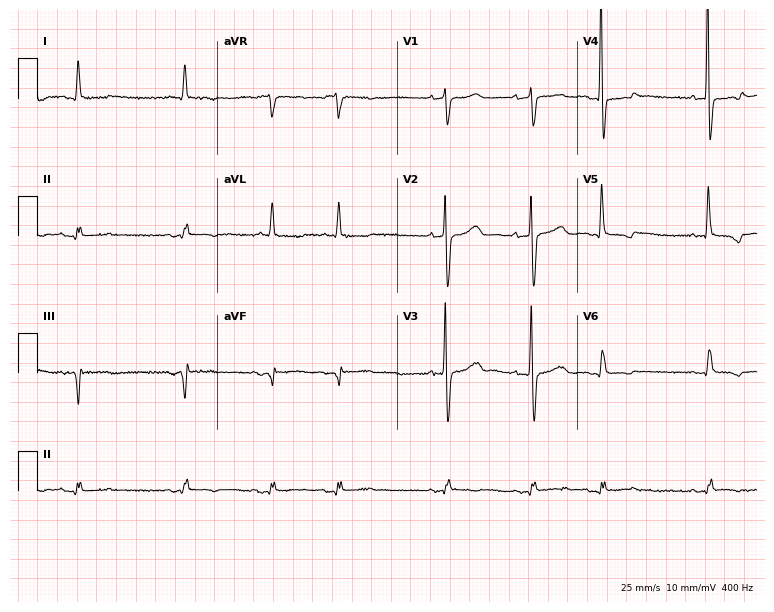
12-lead ECG from a female, 78 years old. Findings include atrial fibrillation (AF).